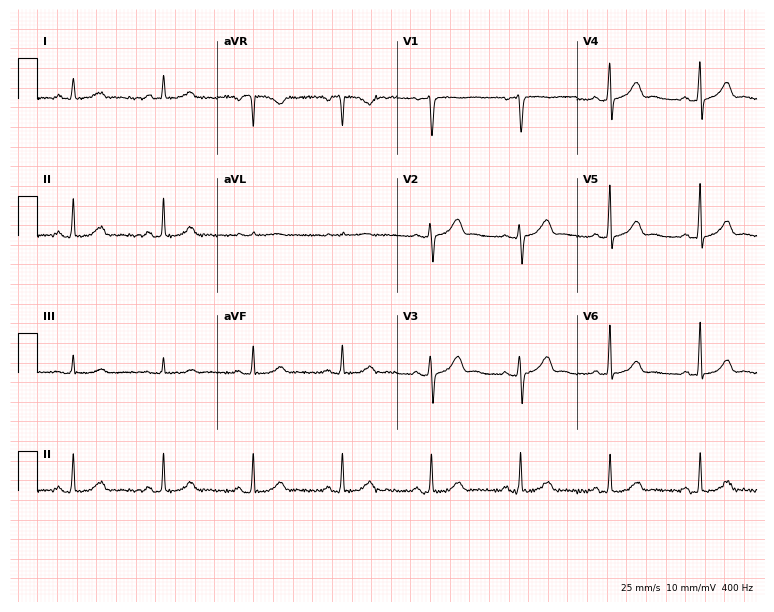
Electrocardiogram, a 63-year-old female patient. Overall reading on record: normal ECG.